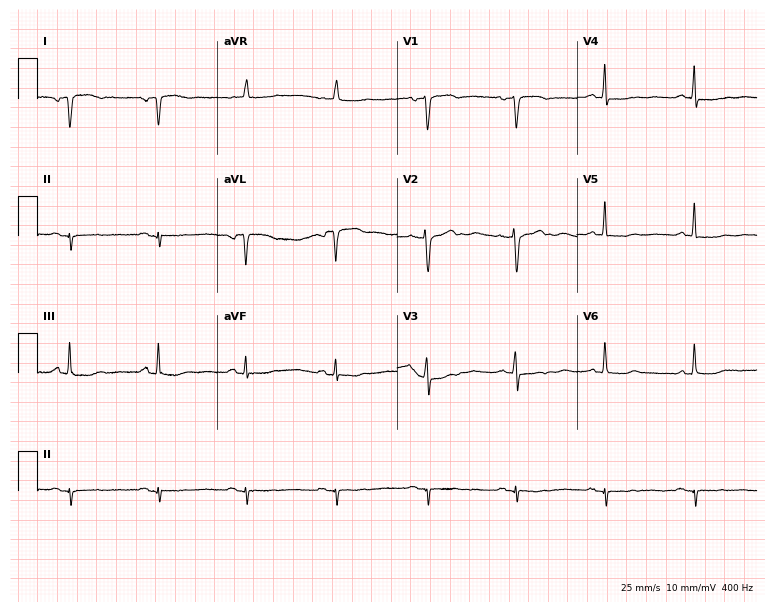
12-lead ECG (7.3-second recording at 400 Hz) from a woman, 62 years old. Screened for six findings — first-degree AV block, right bundle branch block (RBBB), left bundle branch block (LBBB), sinus bradycardia, atrial fibrillation (AF), sinus tachycardia — none is recorded.